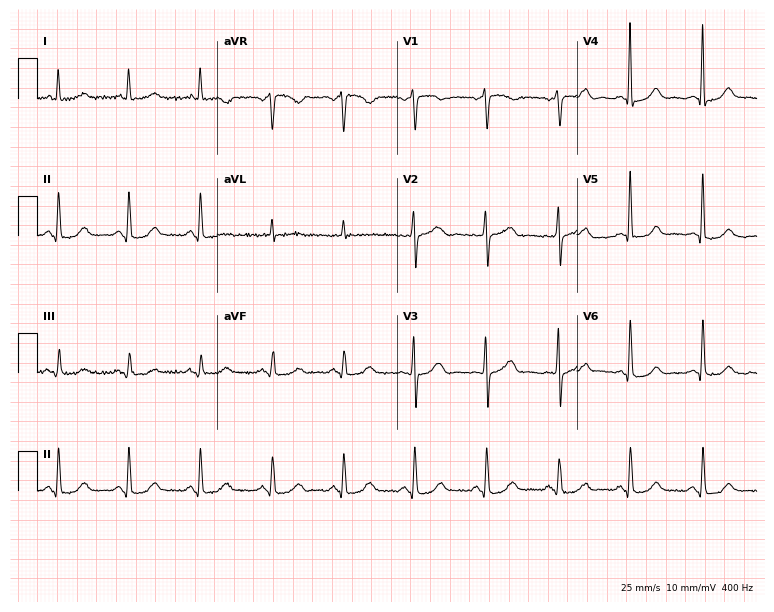
12-lead ECG from a 75-year-old female. No first-degree AV block, right bundle branch block, left bundle branch block, sinus bradycardia, atrial fibrillation or sinus tachycardia recorded for this tracing.